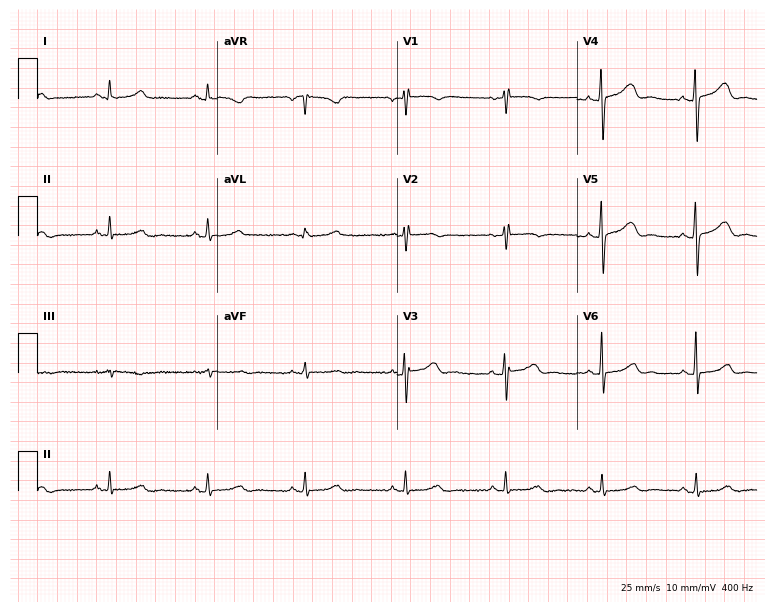
Resting 12-lead electrocardiogram (7.3-second recording at 400 Hz). Patient: a 36-year-old female. None of these six findings is recorded: first-degree AV block, right bundle branch block, left bundle branch block, sinus bradycardia, atrial fibrillation, sinus tachycardia.